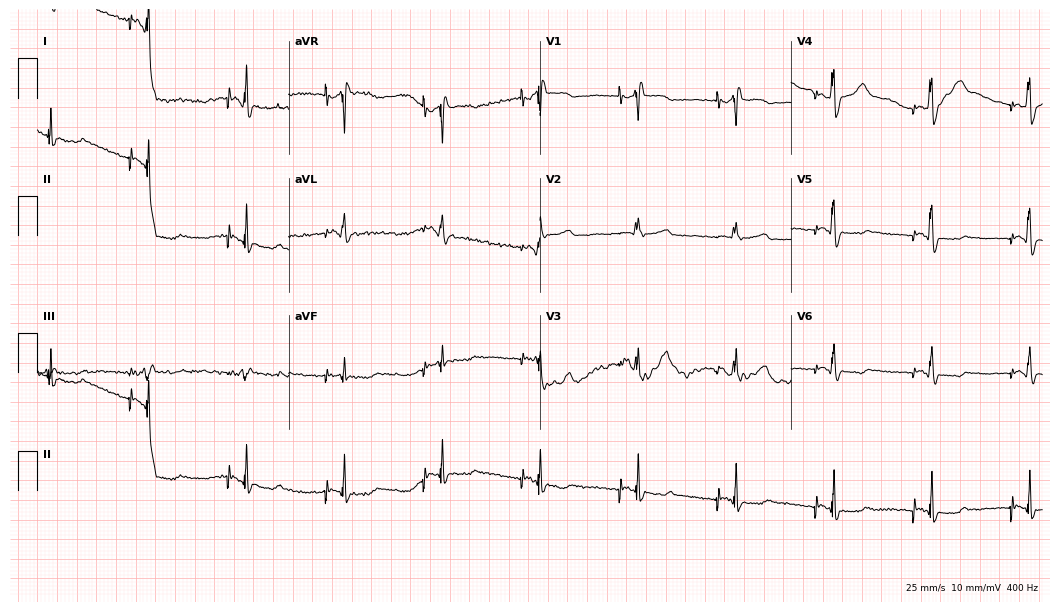
12-lead ECG from a 63-year-old man (10.2-second recording at 400 Hz). No first-degree AV block, right bundle branch block, left bundle branch block, sinus bradycardia, atrial fibrillation or sinus tachycardia recorded for this tracing. Only these six findings were labelled.